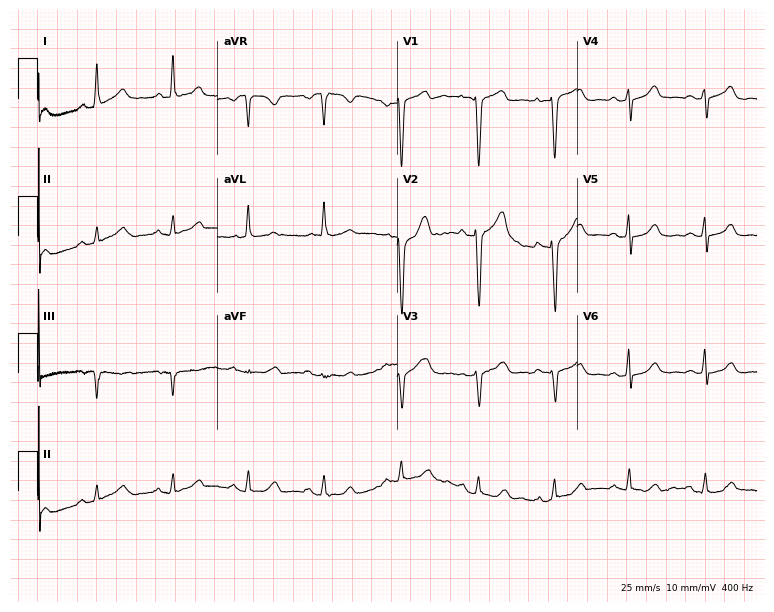
Standard 12-lead ECG recorded from a female, 50 years old (7.3-second recording at 400 Hz). None of these six findings is recorded: first-degree AV block, right bundle branch block (RBBB), left bundle branch block (LBBB), sinus bradycardia, atrial fibrillation (AF), sinus tachycardia.